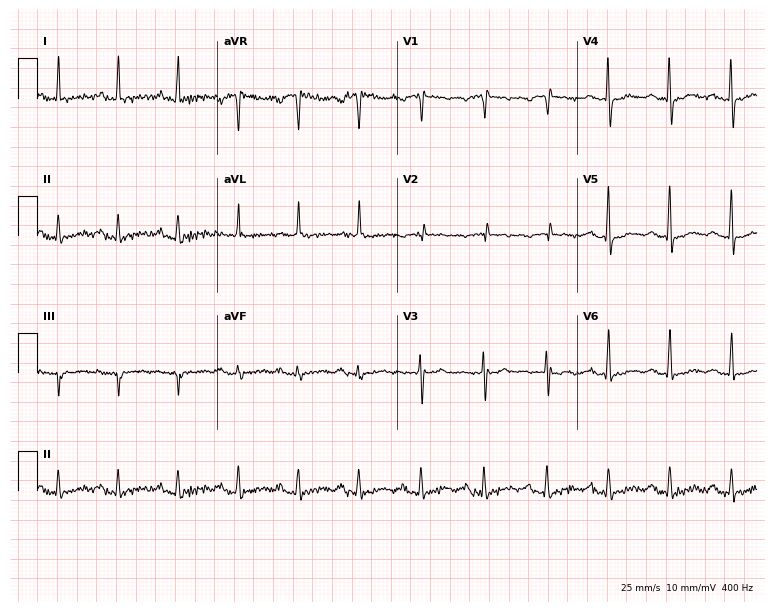
12-lead ECG (7.3-second recording at 400 Hz) from a 64-year-old woman. Labelled as a normal ECG.